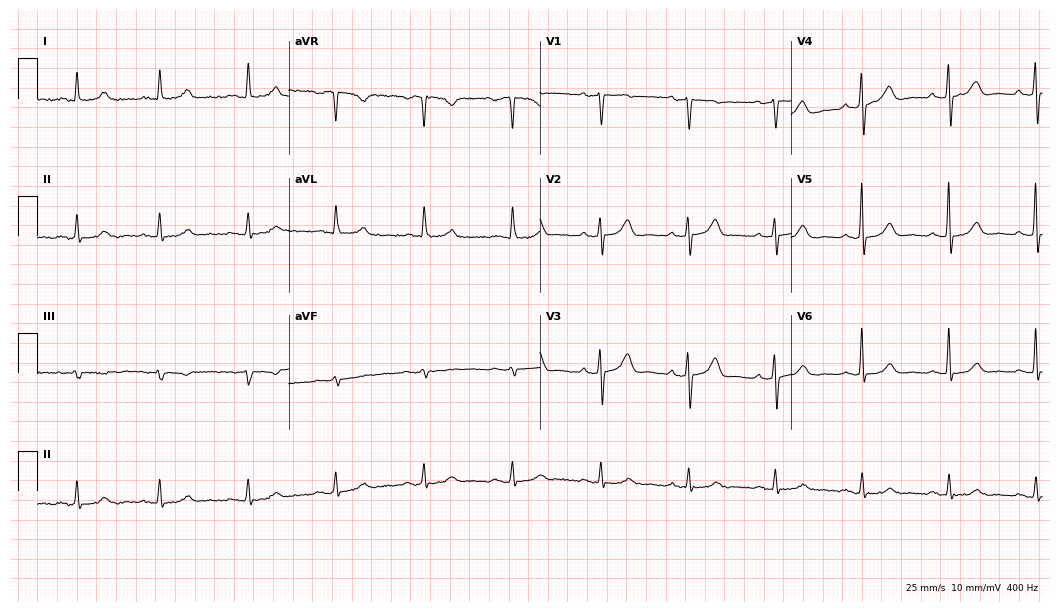
12-lead ECG (10.2-second recording at 400 Hz) from a female patient, 62 years old. Labelled as a normal ECG.